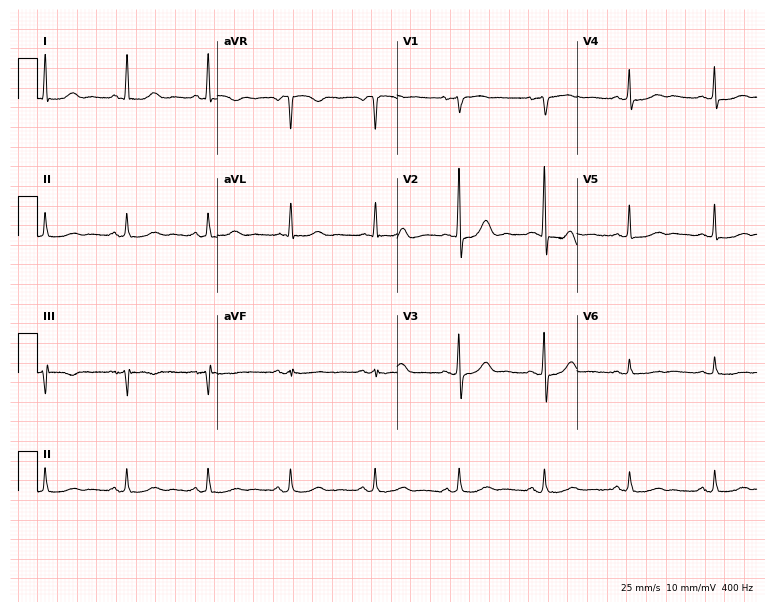
Electrocardiogram (7.3-second recording at 400 Hz), a 73-year-old female. Of the six screened findings (first-degree AV block, right bundle branch block, left bundle branch block, sinus bradycardia, atrial fibrillation, sinus tachycardia), none is recorded. Findings outside these six are not listed.